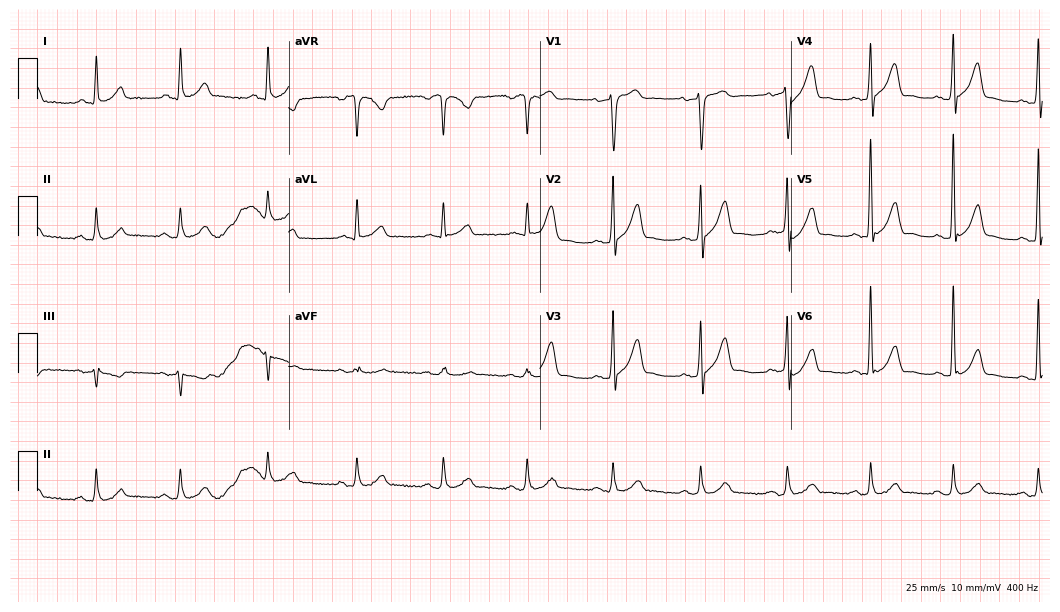
ECG — a man, 41 years old. Labelled as a normal ECG.